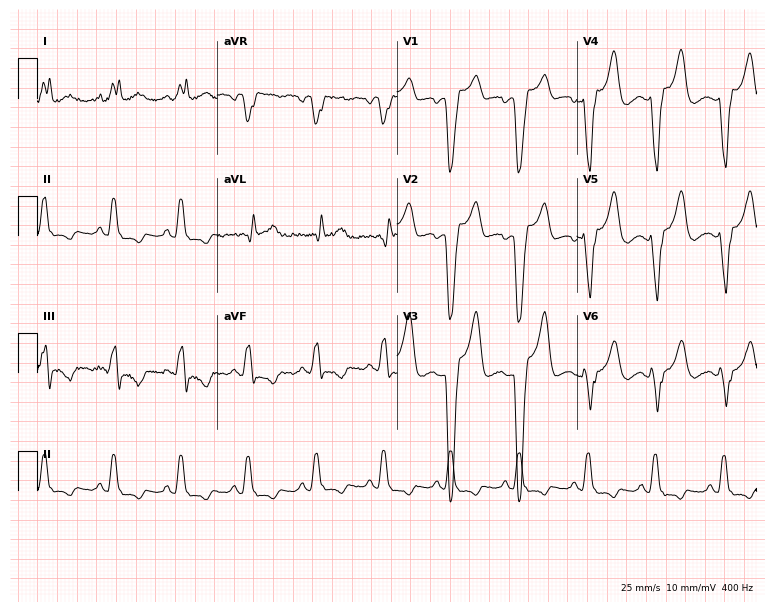
Resting 12-lead electrocardiogram (7.3-second recording at 400 Hz). Patient: a woman, 67 years old. The tracing shows left bundle branch block.